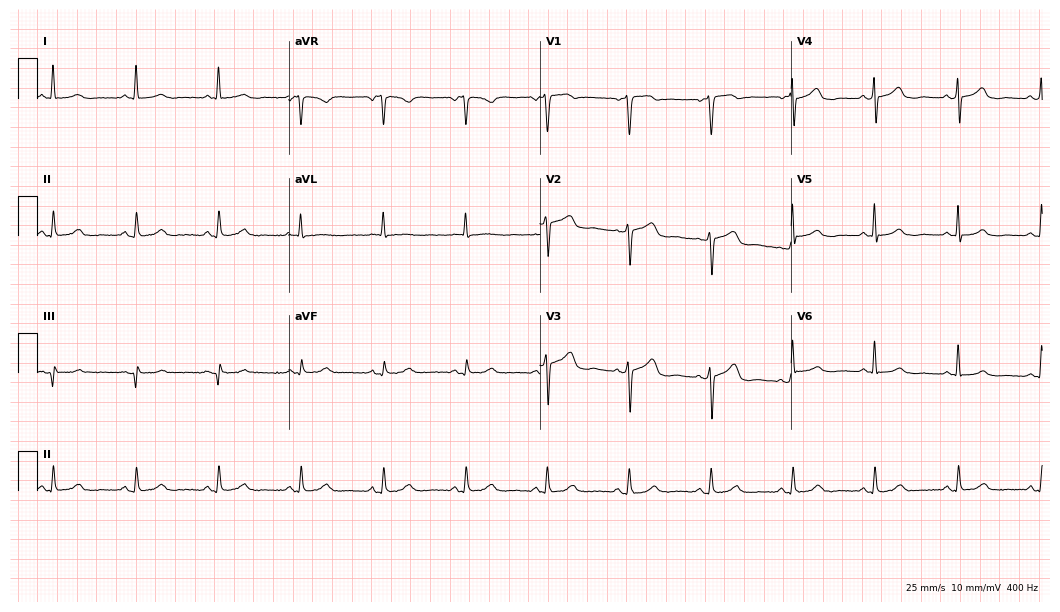
ECG (10.2-second recording at 400 Hz) — a female patient, 46 years old. Labelled as a normal ECG.